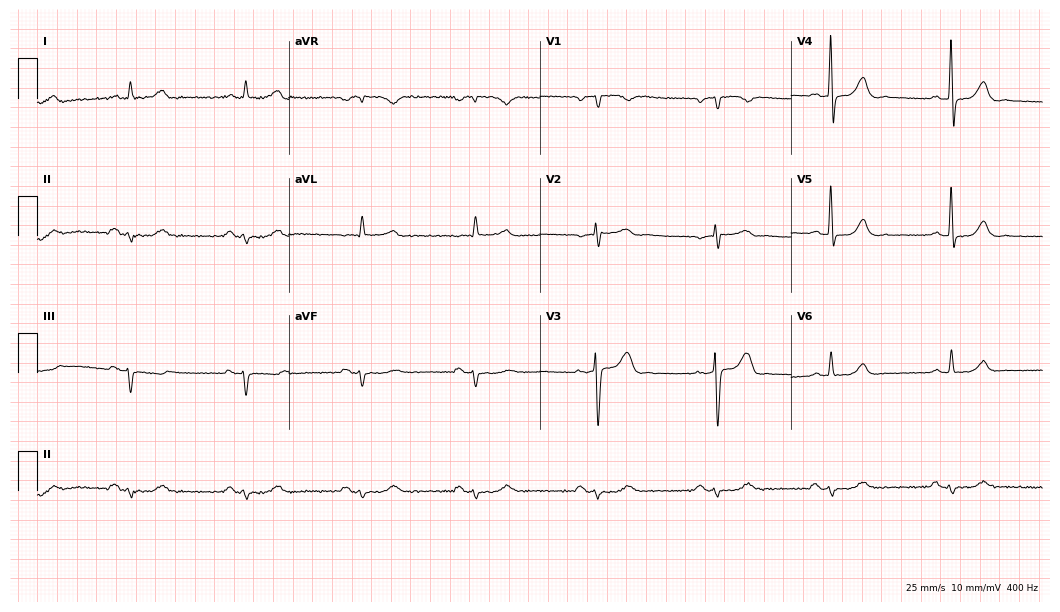
Resting 12-lead electrocardiogram. Patient: a 61-year-old male. The tracing shows right bundle branch block.